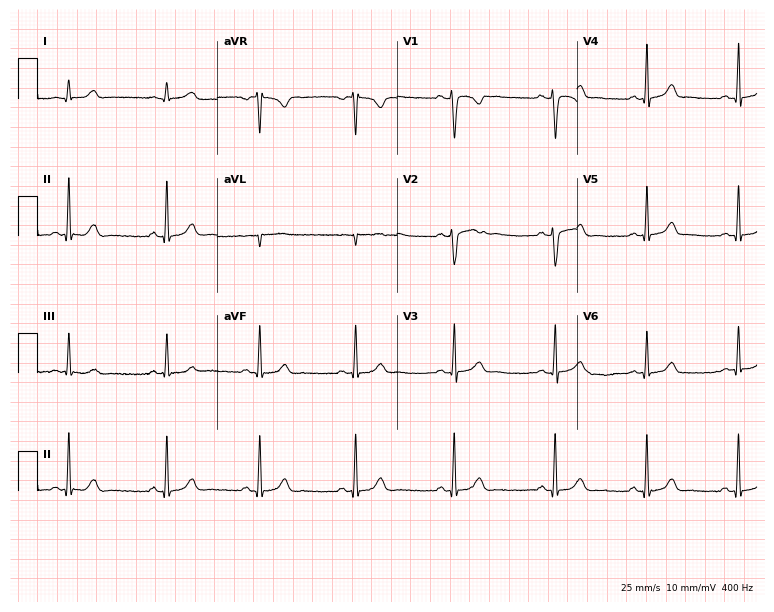
12-lead ECG from a female, 22 years old (7.3-second recording at 400 Hz). Recorded interpretation: within normal limits.